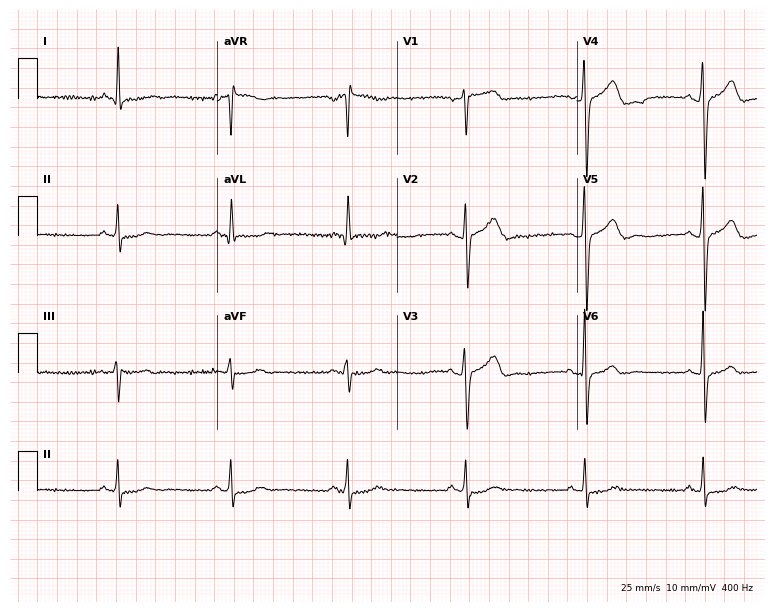
Standard 12-lead ECG recorded from a man, 44 years old (7.3-second recording at 400 Hz). The tracing shows sinus bradycardia (a sinus rate of 50 beats per minute or less).